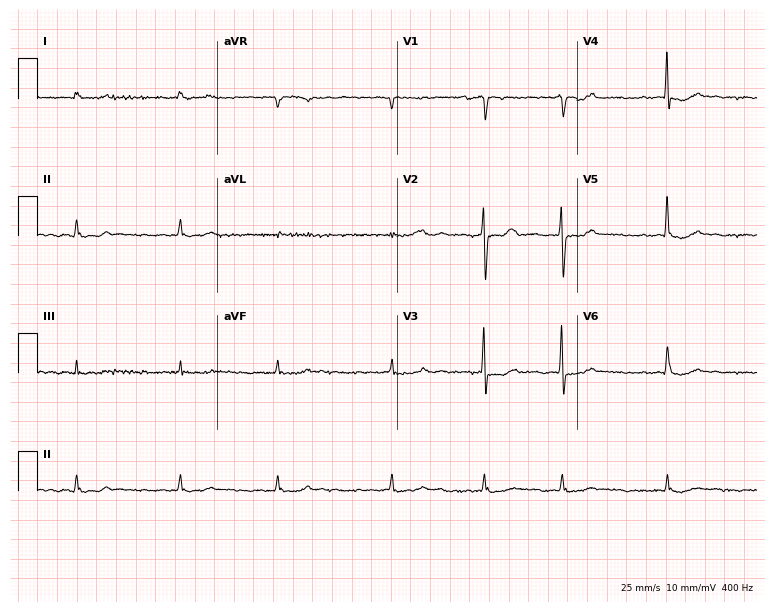
Resting 12-lead electrocardiogram (7.3-second recording at 400 Hz). Patient: a 75-year-old female. The tracing shows atrial fibrillation (AF).